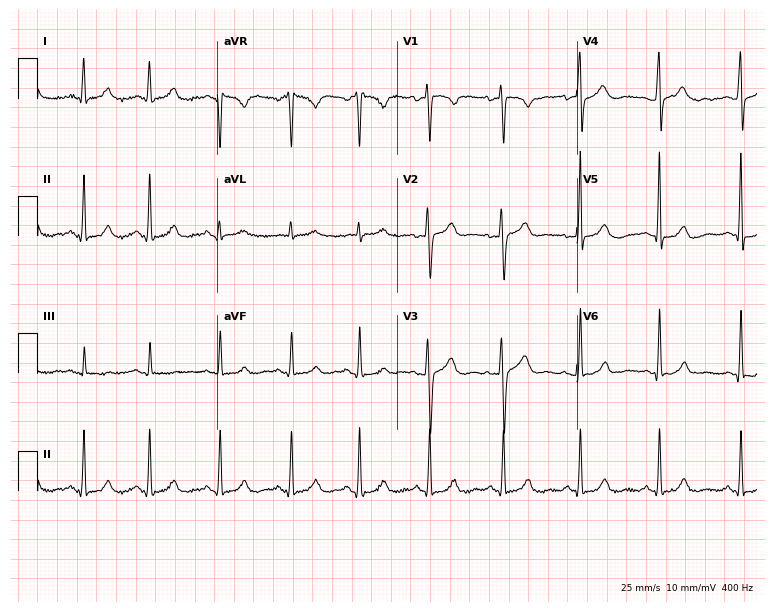
Standard 12-lead ECG recorded from a 24-year-old female patient (7.3-second recording at 400 Hz). None of these six findings is recorded: first-degree AV block, right bundle branch block (RBBB), left bundle branch block (LBBB), sinus bradycardia, atrial fibrillation (AF), sinus tachycardia.